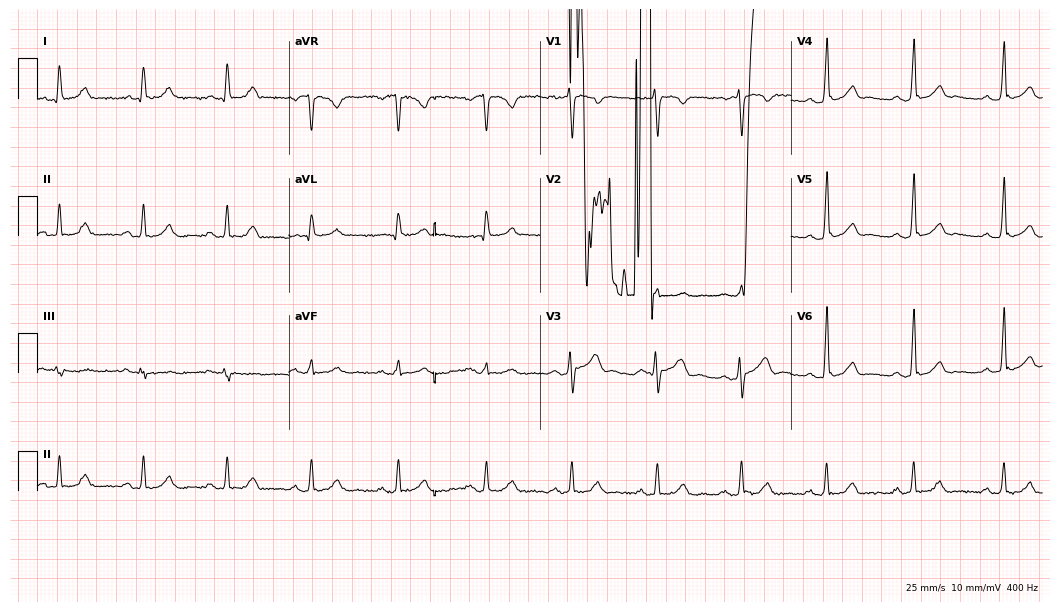
12-lead ECG from a 45-year-old male patient. Screened for six findings — first-degree AV block, right bundle branch block, left bundle branch block, sinus bradycardia, atrial fibrillation, sinus tachycardia — none is recorded.